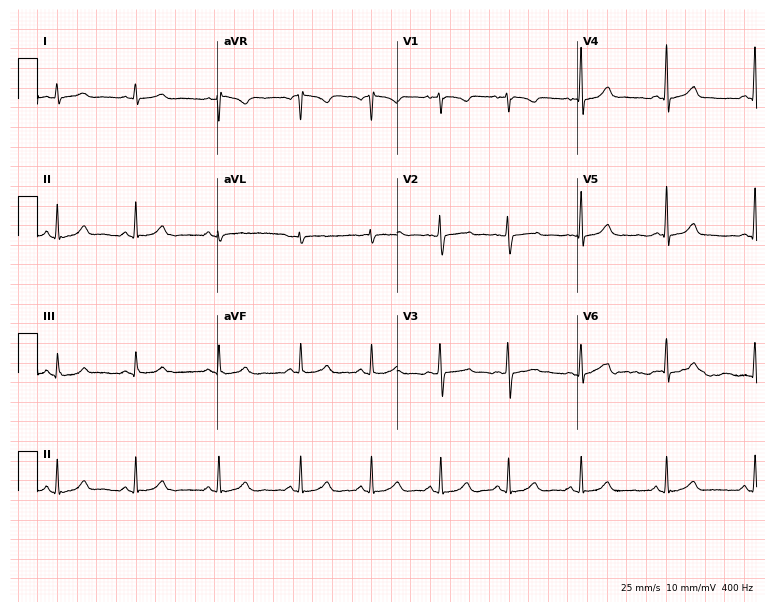
Electrocardiogram (7.3-second recording at 400 Hz), a 27-year-old female patient. Overall reading on record: normal ECG.